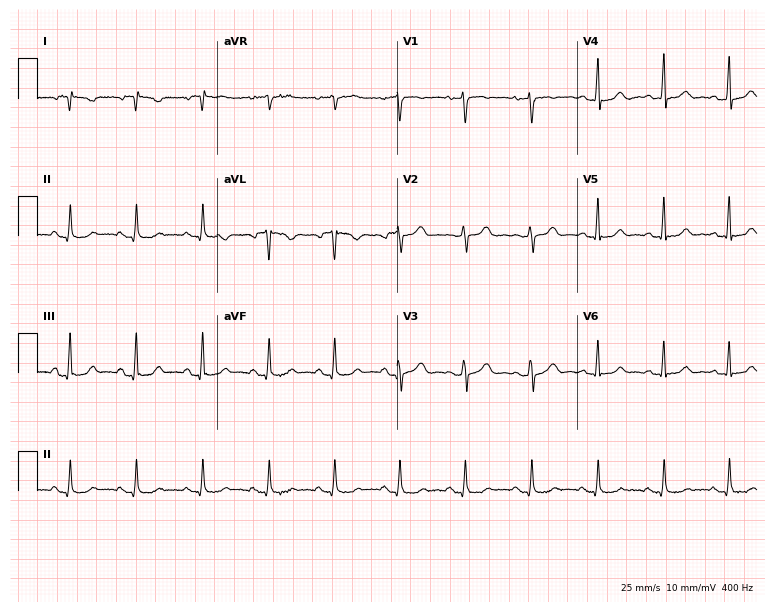
12-lead ECG from a 49-year-old female patient. Screened for six findings — first-degree AV block, right bundle branch block, left bundle branch block, sinus bradycardia, atrial fibrillation, sinus tachycardia — none is recorded. Only these six findings were labelled.